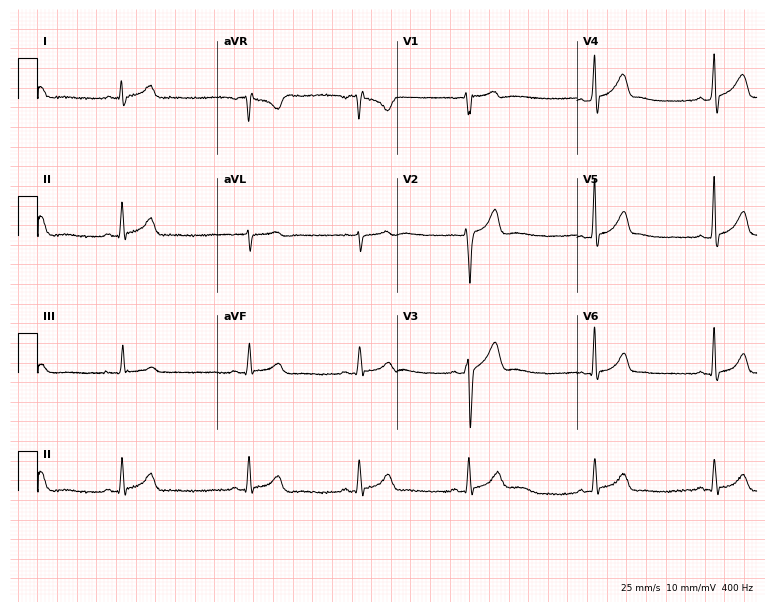
Electrocardiogram (7.3-second recording at 400 Hz), a 22-year-old male. Overall reading on record: normal ECG.